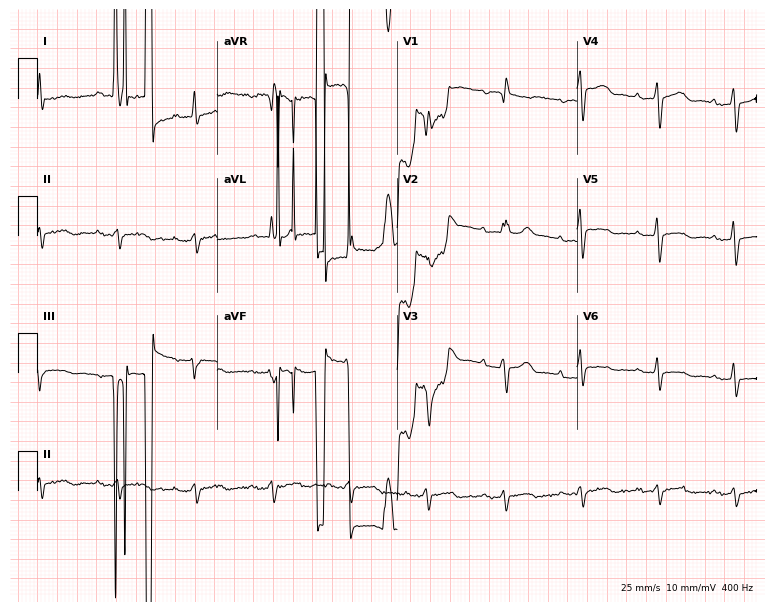
ECG (7.3-second recording at 400 Hz) — a male, 56 years old. Screened for six findings — first-degree AV block, right bundle branch block, left bundle branch block, sinus bradycardia, atrial fibrillation, sinus tachycardia — none is recorded.